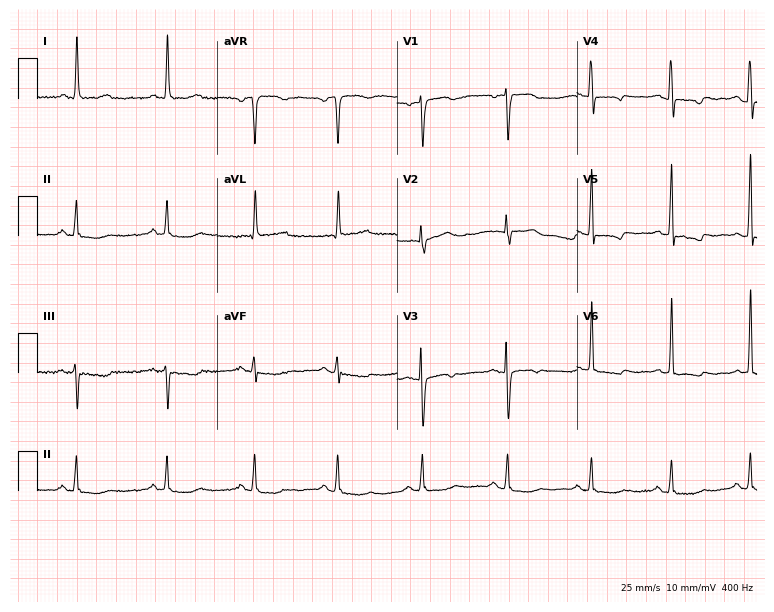
ECG — a 71-year-old female patient. Screened for six findings — first-degree AV block, right bundle branch block (RBBB), left bundle branch block (LBBB), sinus bradycardia, atrial fibrillation (AF), sinus tachycardia — none is recorded. Other findings, if any, are not listed.